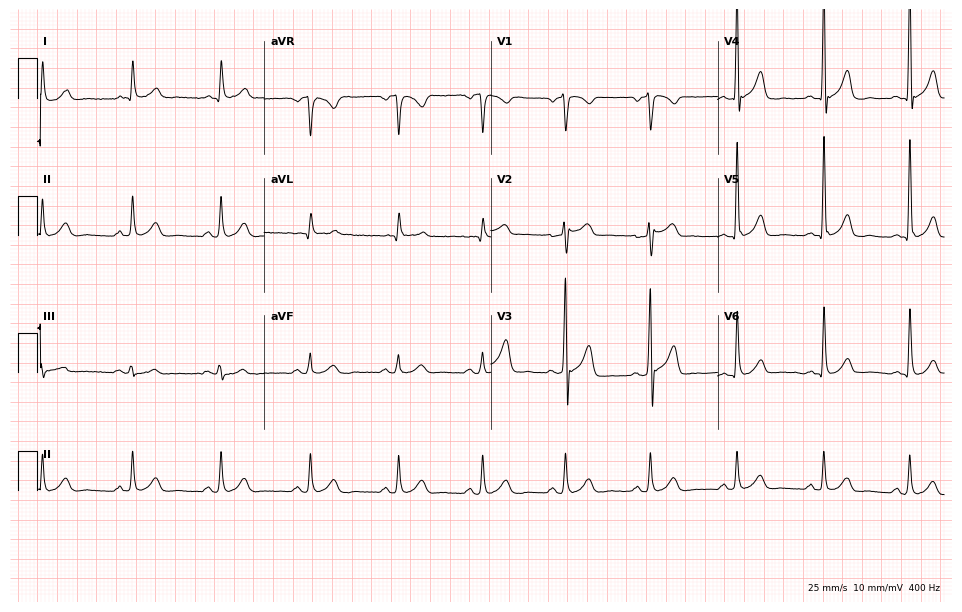
12-lead ECG from a male patient, 50 years old (9.2-second recording at 400 Hz). Recorded interpretation: within normal limits.